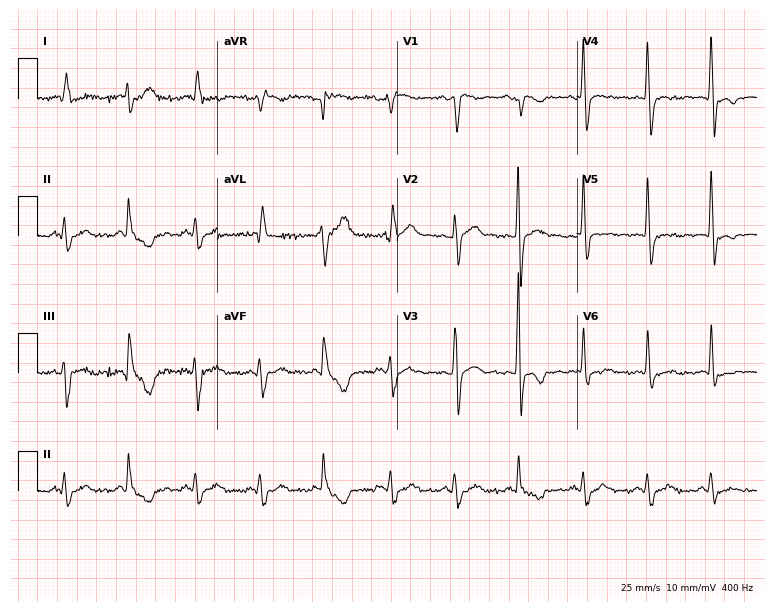
Standard 12-lead ECG recorded from a male, 50 years old (7.3-second recording at 400 Hz). None of these six findings is recorded: first-degree AV block, right bundle branch block, left bundle branch block, sinus bradycardia, atrial fibrillation, sinus tachycardia.